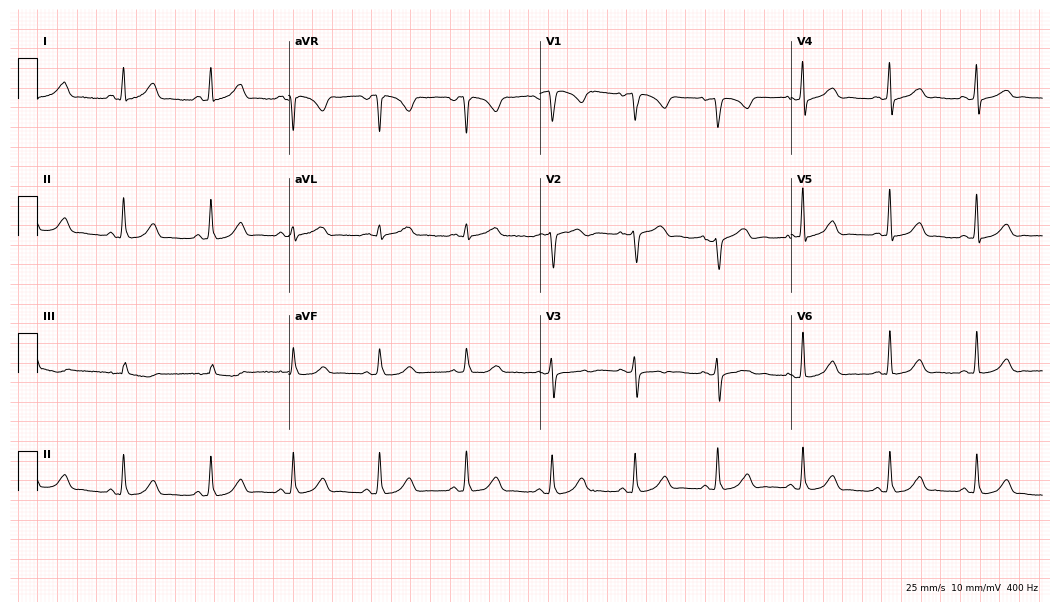
Standard 12-lead ECG recorded from a 26-year-old female (10.2-second recording at 400 Hz). None of these six findings is recorded: first-degree AV block, right bundle branch block, left bundle branch block, sinus bradycardia, atrial fibrillation, sinus tachycardia. Findings outside these six are not listed.